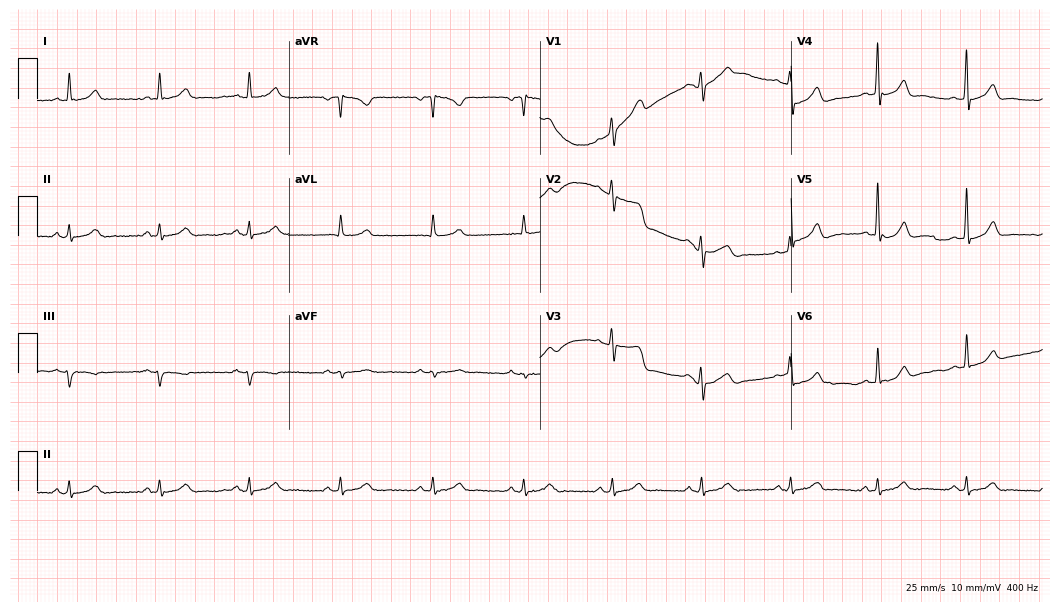
Standard 12-lead ECG recorded from a male, 54 years old. None of these six findings is recorded: first-degree AV block, right bundle branch block, left bundle branch block, sinus bradycardia, atrial fibrillation, sinus tachycardia. Only these six findings were labelled.